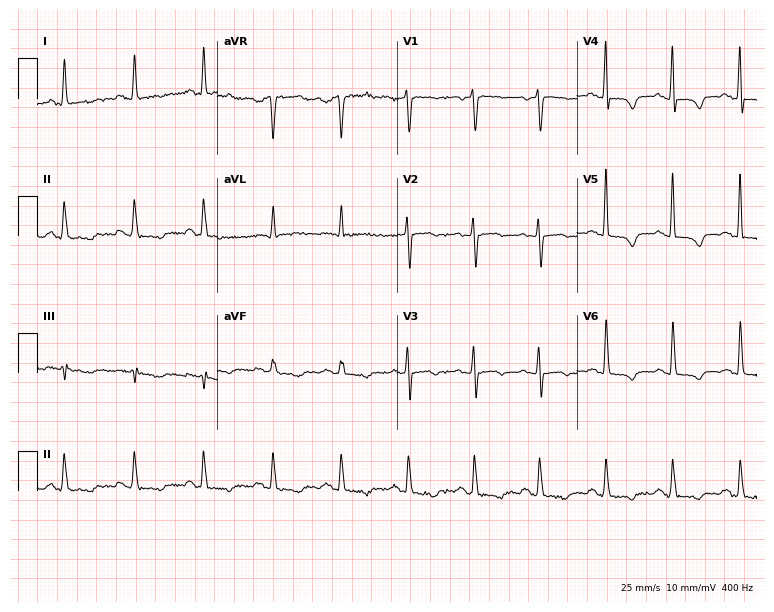
ECG (7.3-second recording at 400 Hz) — a 55-year-old female. Screened for six findings — first-degree AV block, right bundle branch block (RBBB), left bundle branch block (LBBB), sinus bradycardia, atrial fibrillation (AF), sinus tachycardia — none is recorded. Other findings, if any, are not listed.